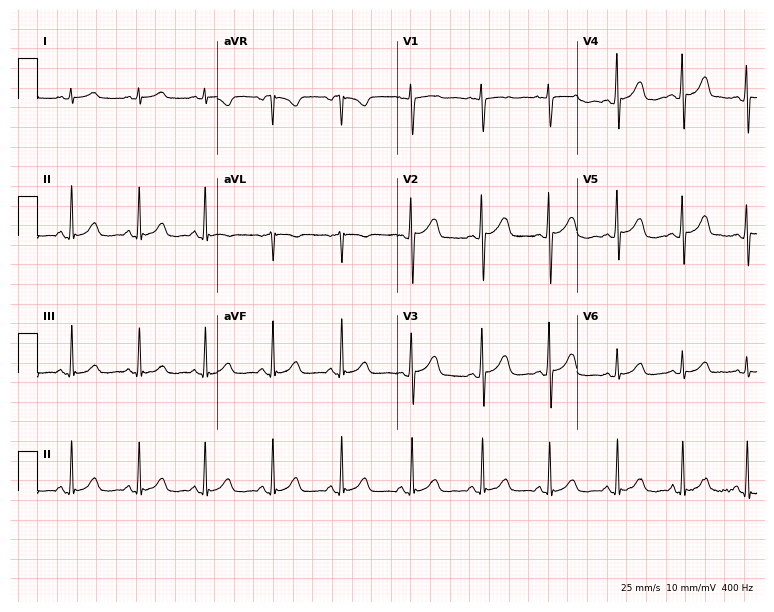
ECG — a 26-year-old female patient. Screened for six findings — first-degree AV block, right bundle branch block (RBBB), left bundle branch block (LBBB), sinus bradycardia, atrial fibrillation (AF), sinus tachycardia — none is recorded. Findings outside these six are not listed.